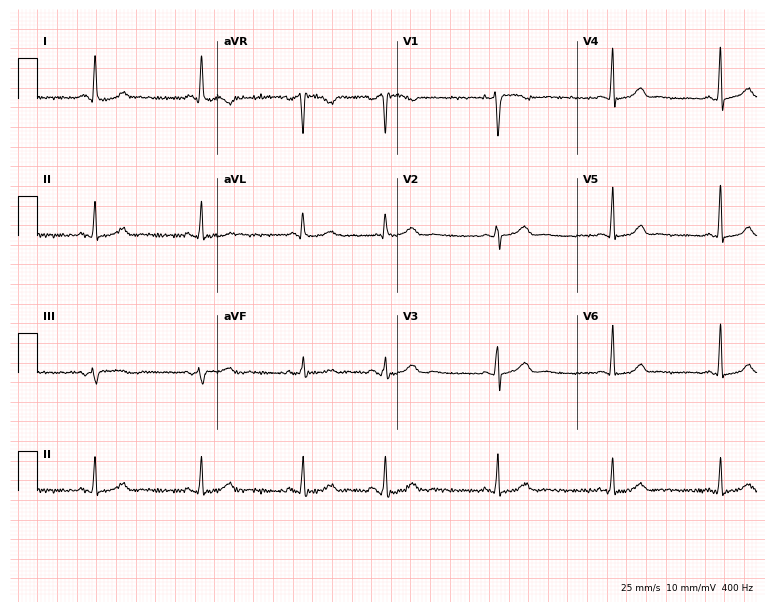
12-lead ECG from a 34-year-old woman. Labelled as a normal ECG.